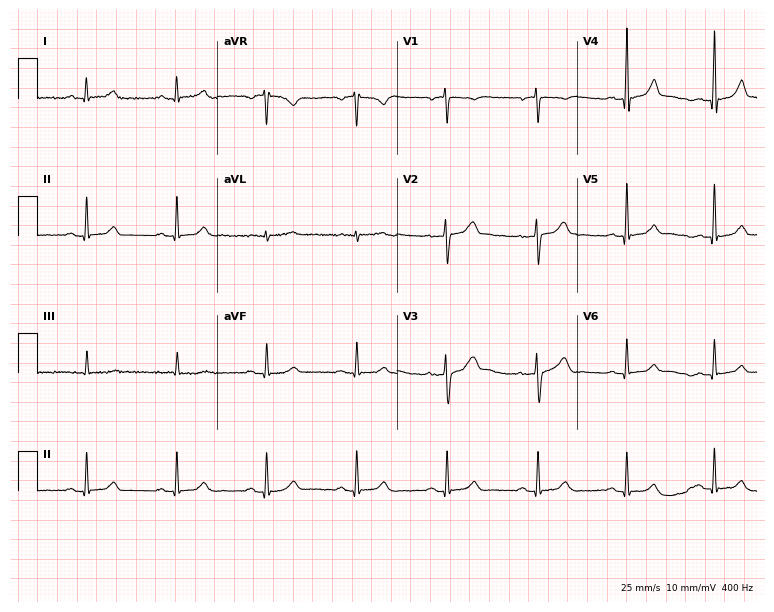
Electrocardiogram, a male patient, 43 years old. Of the six screened findings (first-degree AV block, right bundle branch block, left bundle branch block, sinus bradycardia, atrial fibrillation, sinus tachycardia), none is recorded. Other findings, if any, are not listed.